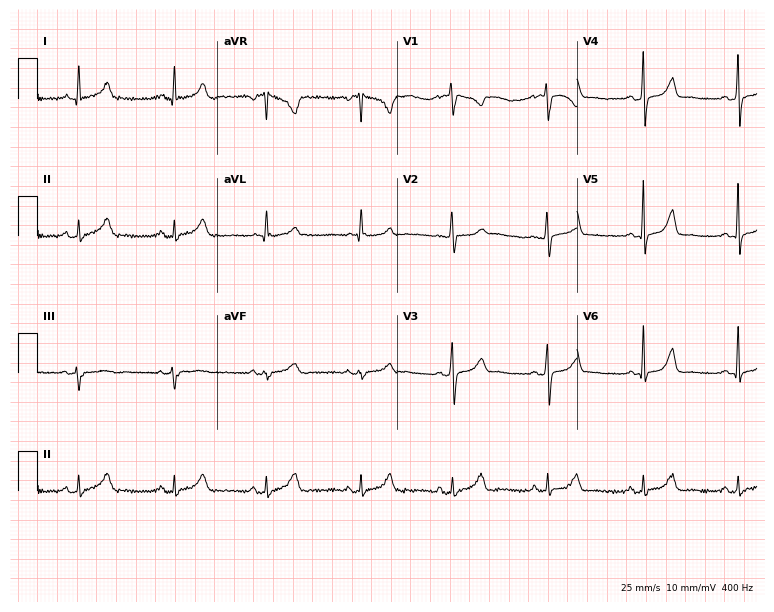
12-lead ECG from a female patient, 29 years old (7.3-second recording at 400 Hz). Recorded interpretation: within normal limits.